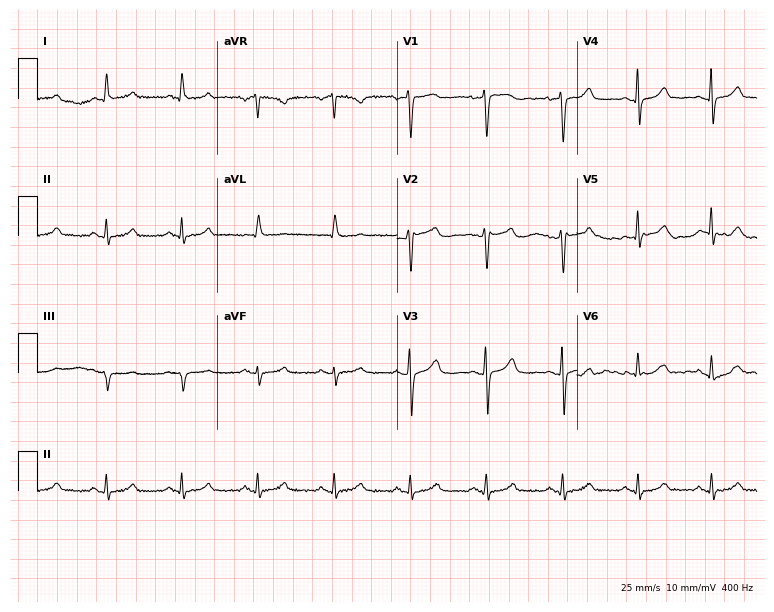
12-lead ECG from a woman, 55 years old (7.3-second recording at 400 Hz). Recorded interpretation: within normal limits.